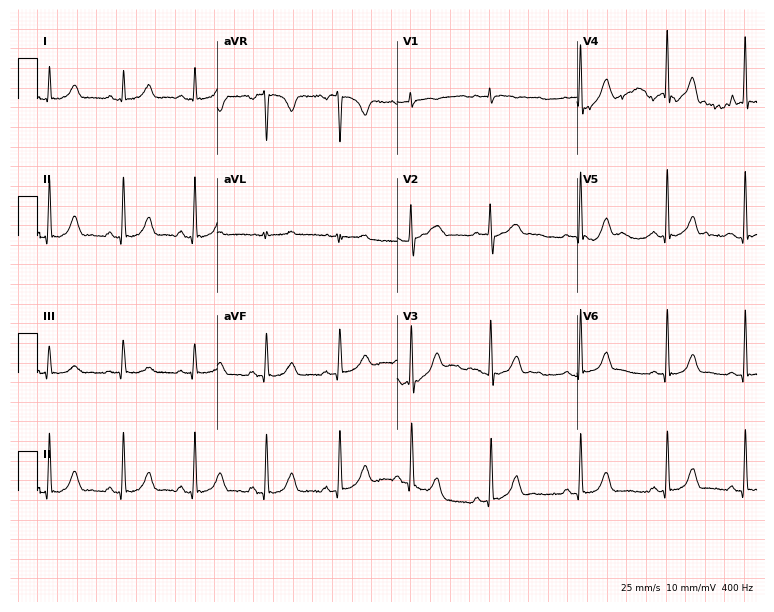
12-lead ECG from an 18-year-old woman. Recorded interpretation: within normal limits.